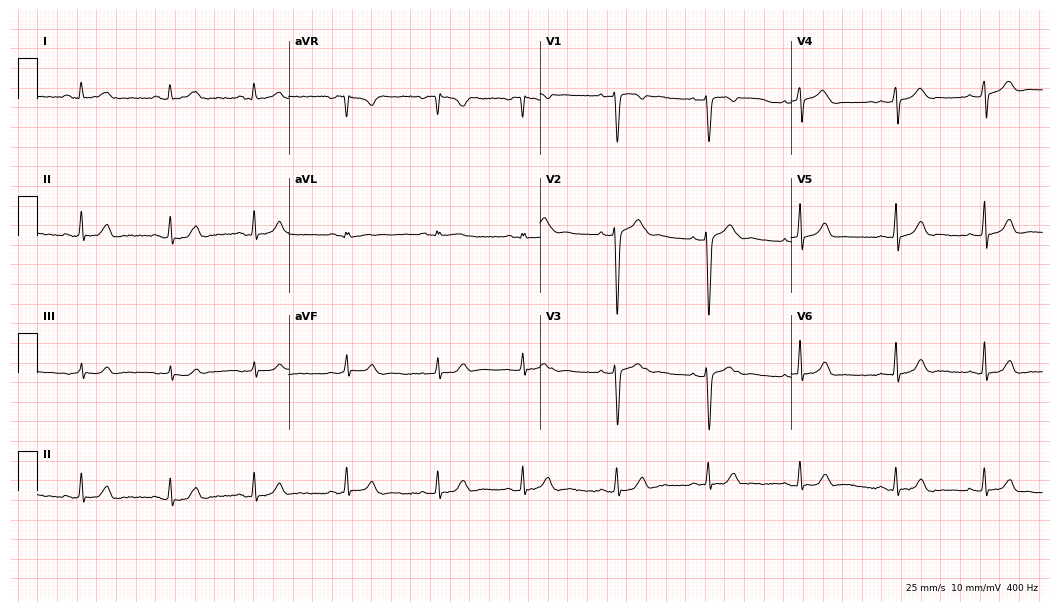
12-lead ECG from a woman, 23 years old. Screened for six findings — first-degree AV block, right bundle branch block, left bundle branch block, sinus bradycardia, atrial fibrillation, sinus tachycardia — none is recorded.